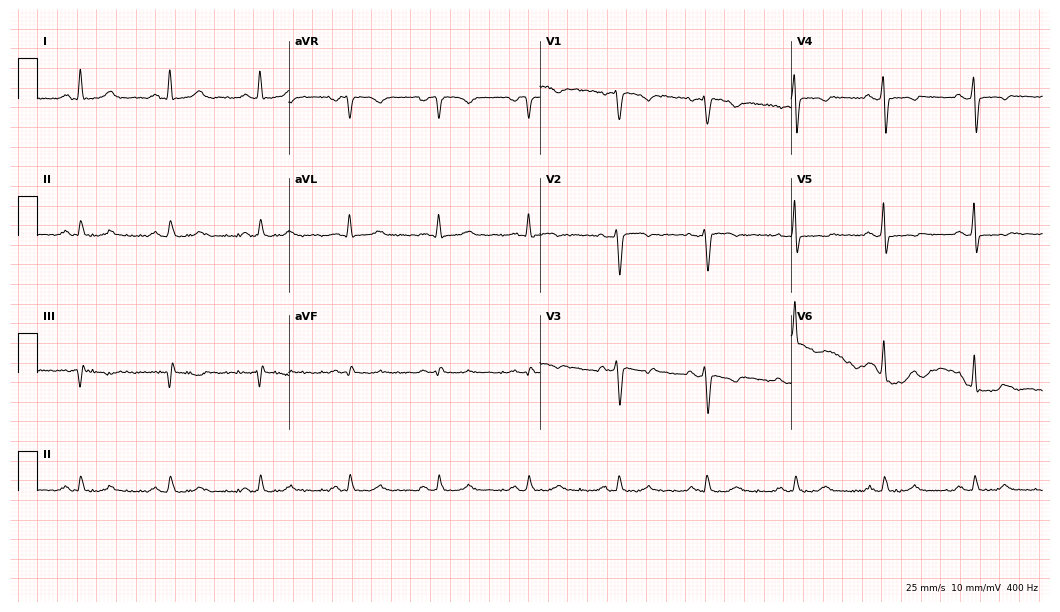
12-lead ECG from a 49-year-old man. Screened for six findings — first-degree AV block, right bundle branch block (RBBB), left bundle branch block (LBBB), sinus bradycardia, atrial fibrillation (AF), sinus tachycardia — none is recorded.